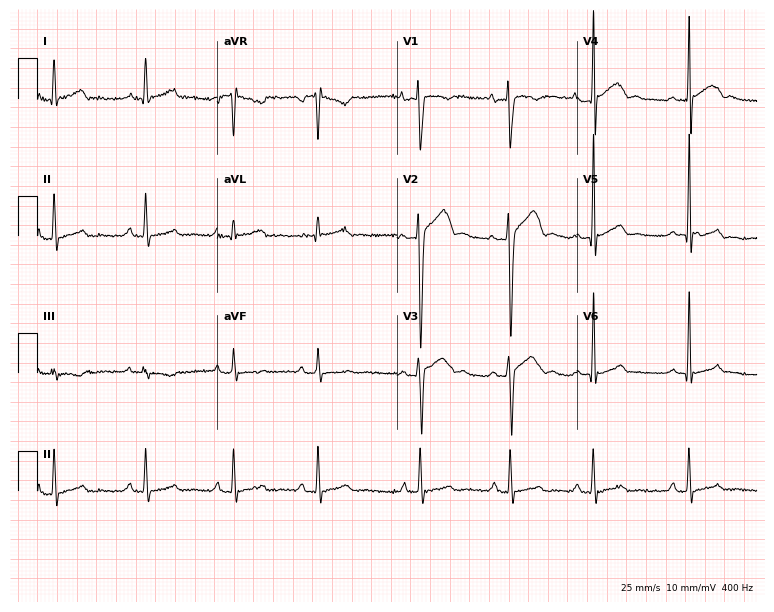
ECG (7.3-second recording at 400 Hz) — a man, 17 years old. Screened for six findings — first-degree AV block, right bundle branch block, left bundle branch block, sinus bradycardia, atrial fibrillation, sinus tachycardia — none is recorded. Findings outside these six are not listed.